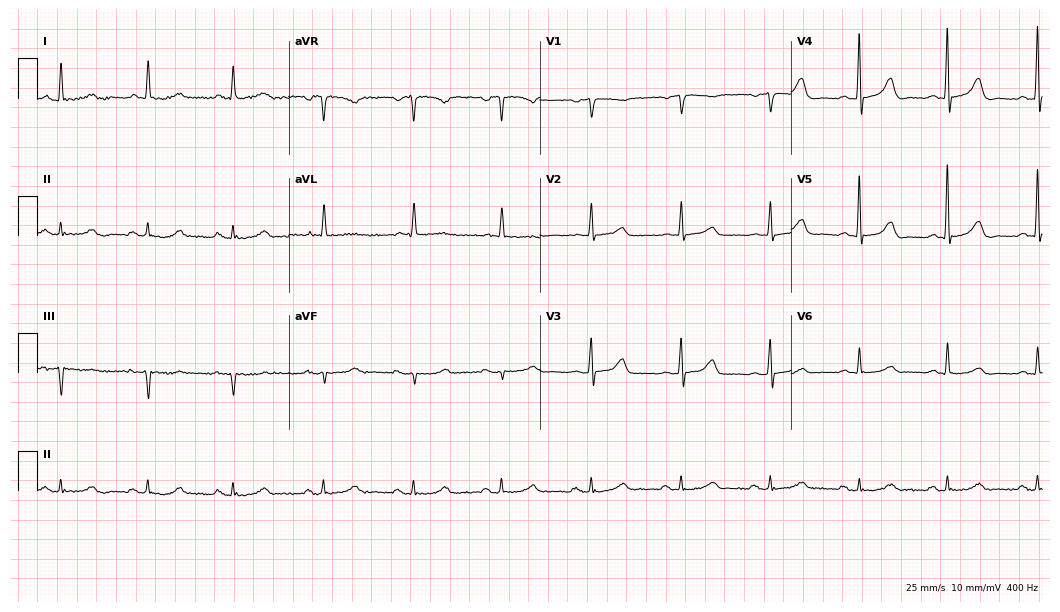
Standard 12-lead ECG recorded from a female patient, 85 years old (10.2-second recording at 400 Hz). Read as a normal ECG.